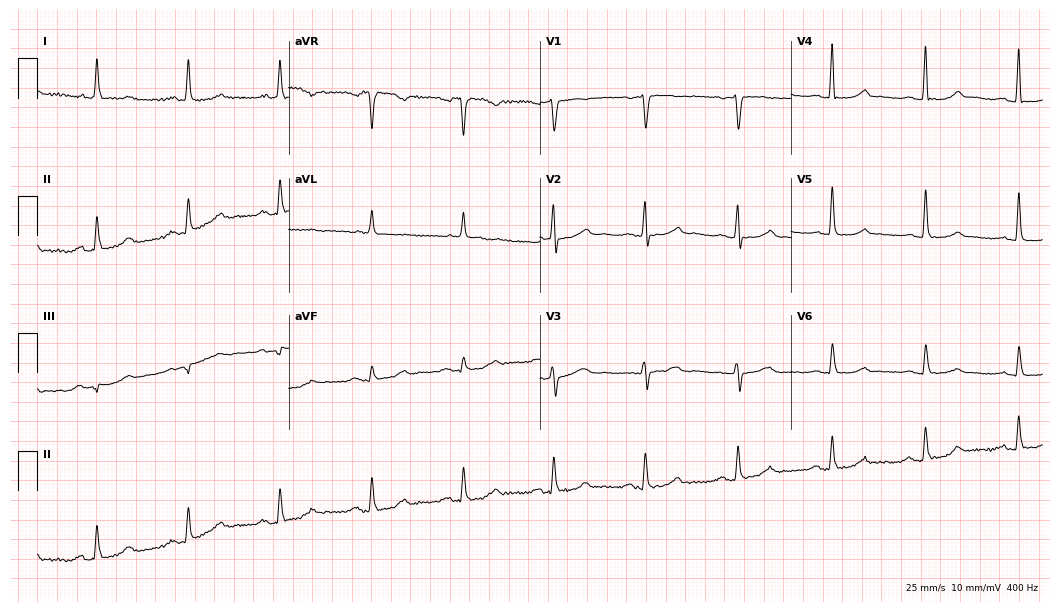
12-lead ECG from a 75-year-old woman. No first-degree AV block, right bundle branch block, left bundle branch block, sinus bradycardia, atrial fibrillation or sinus tachycardia recorded for this tracing. Findings outside these six are not listed.